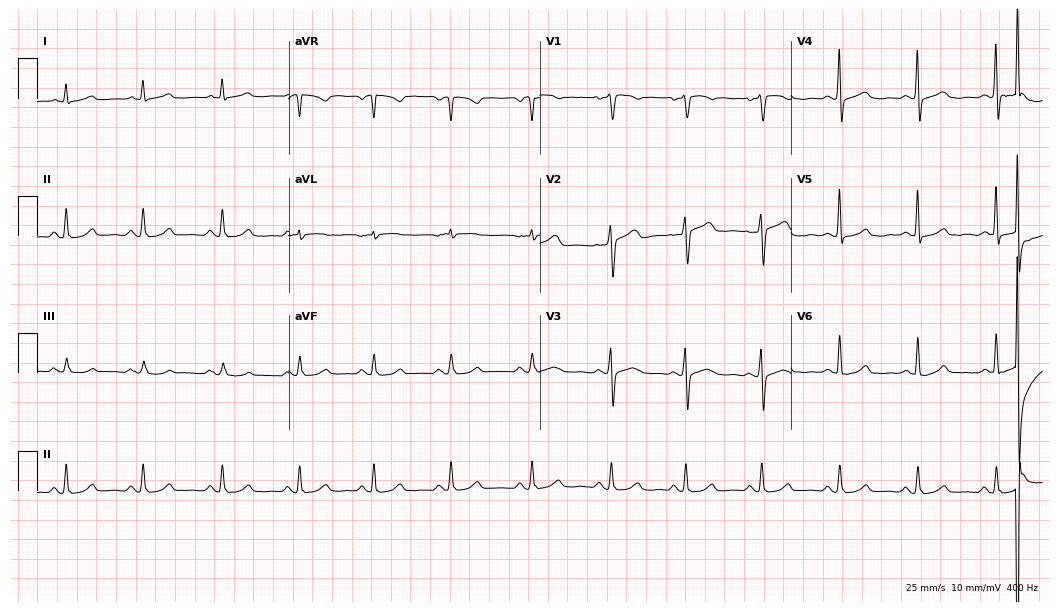
ECG (10.2-second recording at 400 Hz) — a female patient, 61 years old. Labelled as a normal ECG.